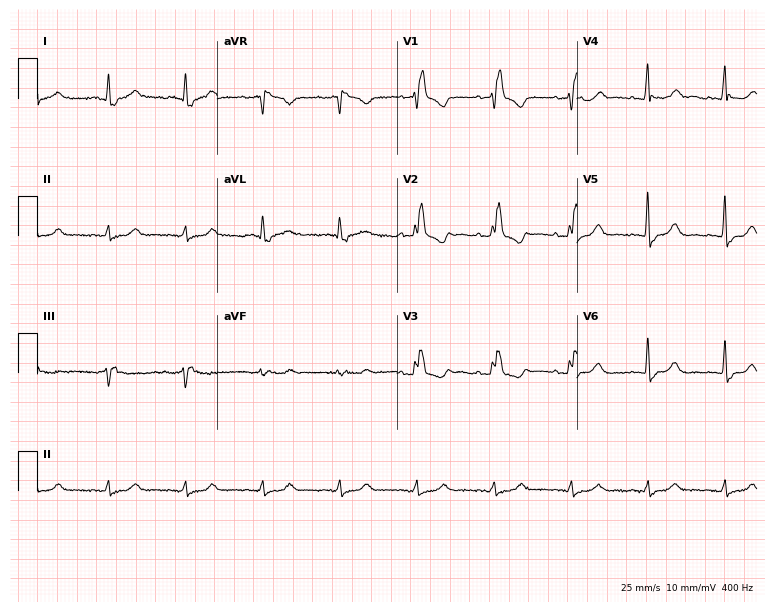
ECG — a female, 81 years old. Findings include right bundle branch block.